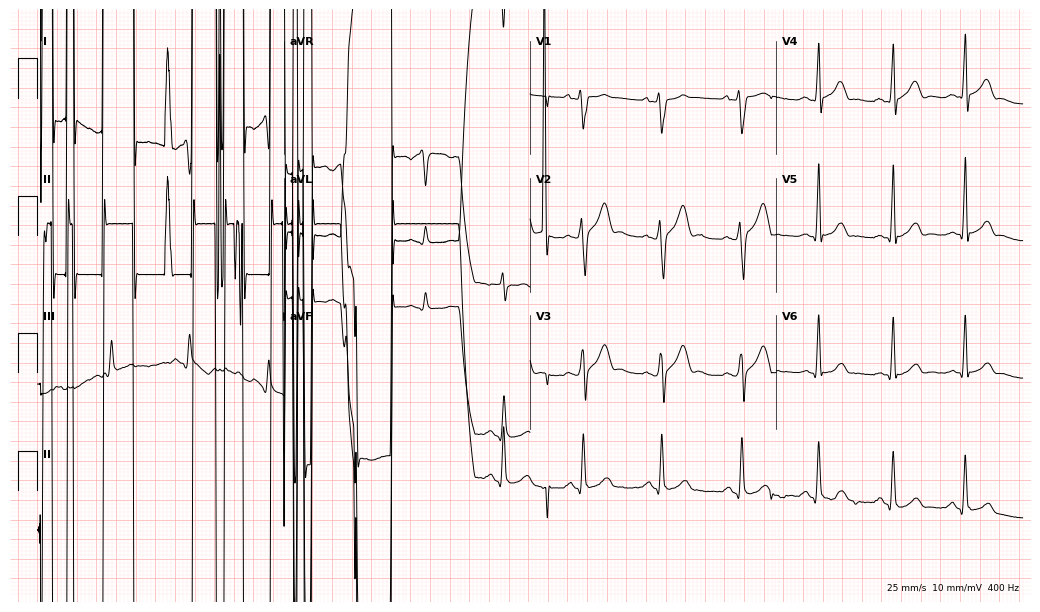
Electrocardiogram (10-second recording at 400 Hz), a 30-year-old male. Of the six screened findings (first-degree AV block, right bundle branch block (RBBB), left bundle branch block (LBBB), sinus bradycardia, atrial fibrillation (AF), sinus tachycardia), none is recorded. Only these six findings were labelled.